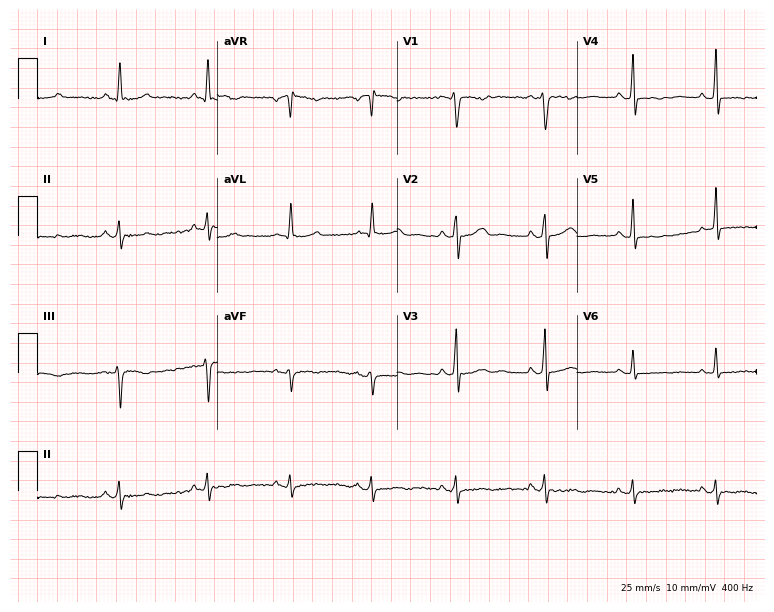
Standard 12-lead ECG recorded from a 45-year-old female patient. None of these six findings is recorded: first-degree AV block, right bundle branch block (RBBB), left bundle branch block (LBBB), sinus bradycardia, atrial fibrillation (AF), sinus tachycardia. Findings outside these six are not listed.